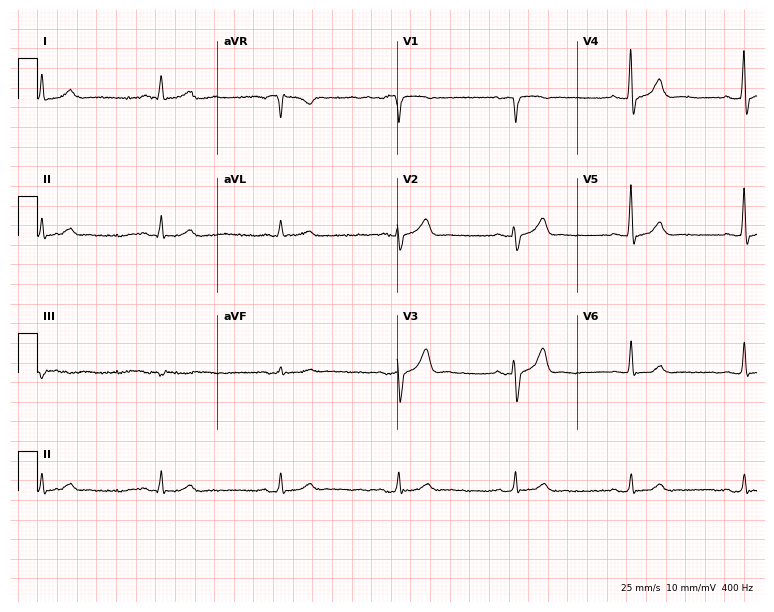
Resting 12-lead electrocardiogram (7.3-second recording at 400 Hz). Patient: a male, 85 years old. Read as a normal ECG.